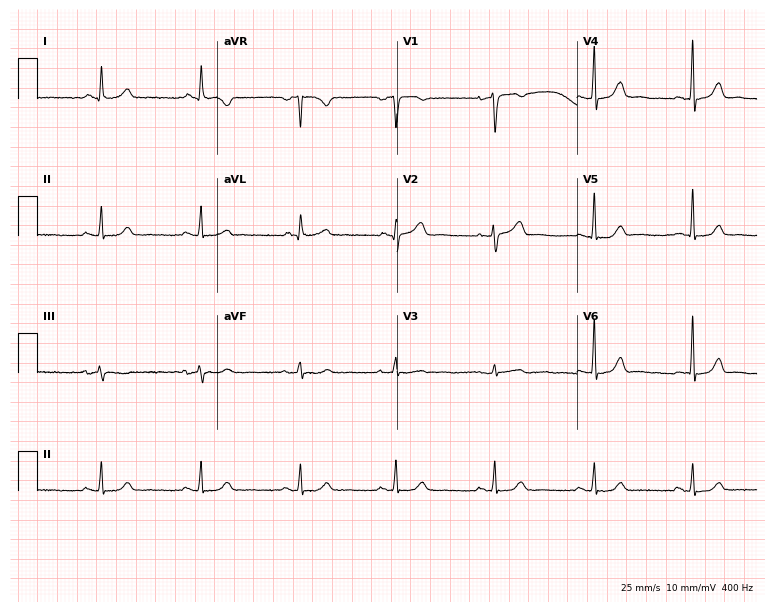
Electrocardiogram (7.3-second recording at 400 Hz), a female, 53 years old. Overall reading on record: normal ECG.